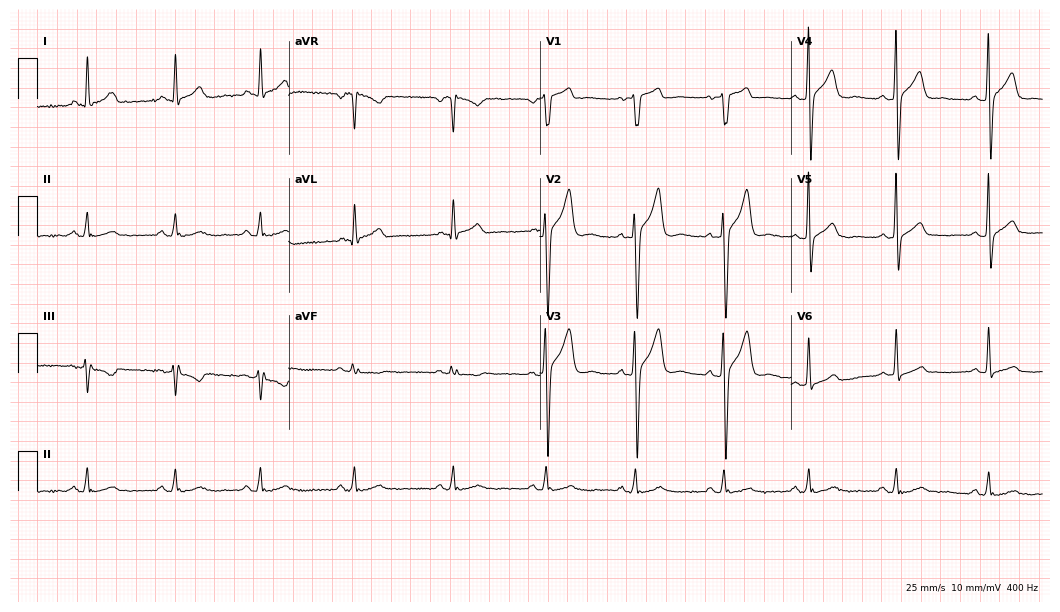
Standard 12-lead ECG recorded from a male patient, 35 years old (10.2-second recording at 400 Hz). Read as a normal ECG.